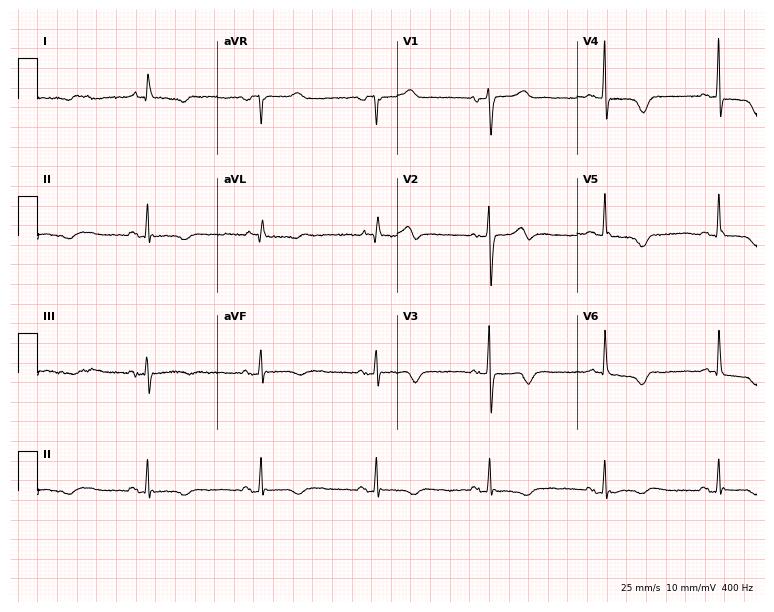
Resting 12-lead electrocardiogram. Patient: a female, 64 years old. None of these six findings is recorded: first-degree AV block, right bundle branch block, left bundle branch block, sinus bradycardia, atrial fibrillation, sinus tachycardia. Findings outside these six are not listed.